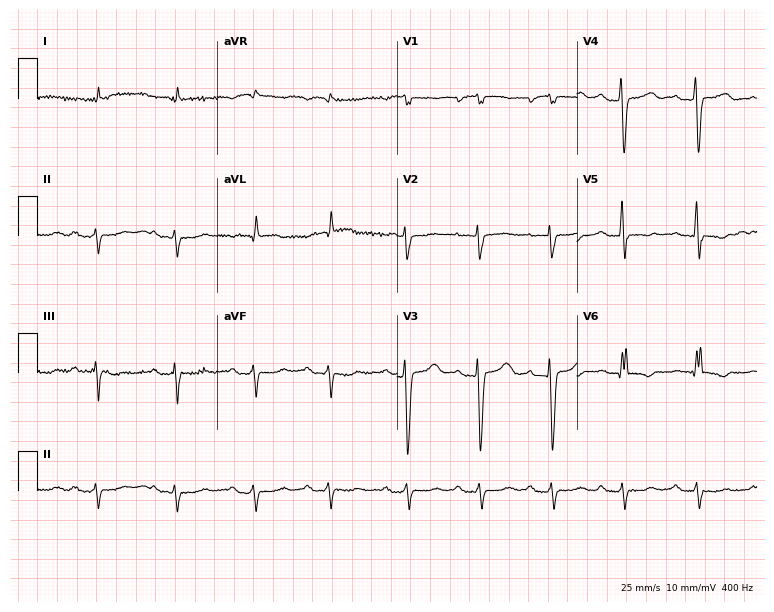
ECG — a woman, 68 years old. Findings include first-degree AV block.